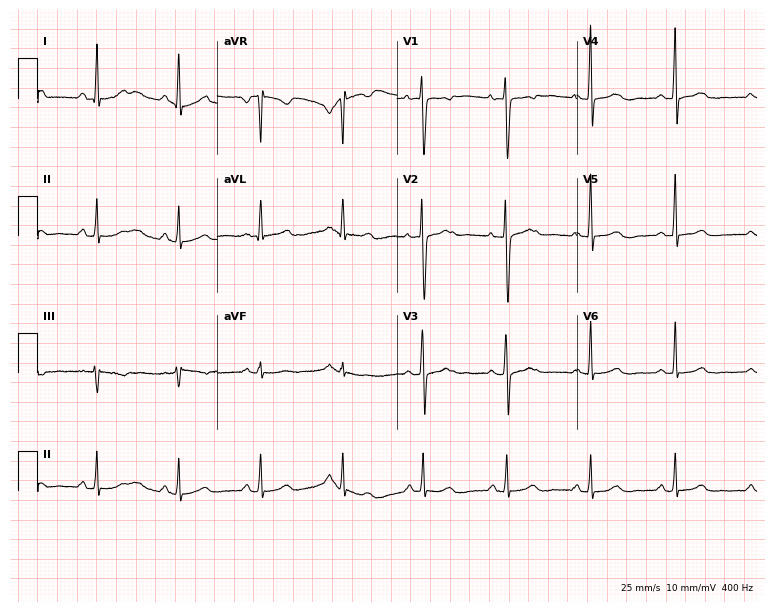
Standard 12-lead ECG recorded from a 41-year-old female patient. Read as a normal ECG.